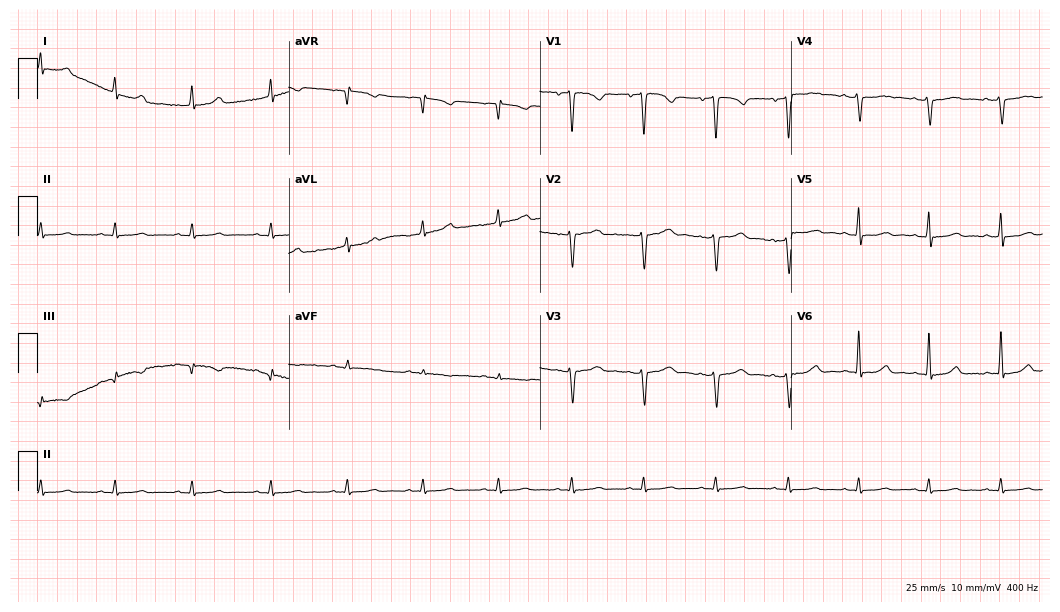
Resting 12-lead electrocardiogram (10.2-second recording at 400 Hz). Patient: a 48-year-old female. None of these six findings is recorded: first-degree AV block, right bundle branch block (RBBB), left bundle branch block (LBBB), sinus bradycardia, atrial fibrillation (AF), sinus tachycardia. Findings outside these six are not listed.